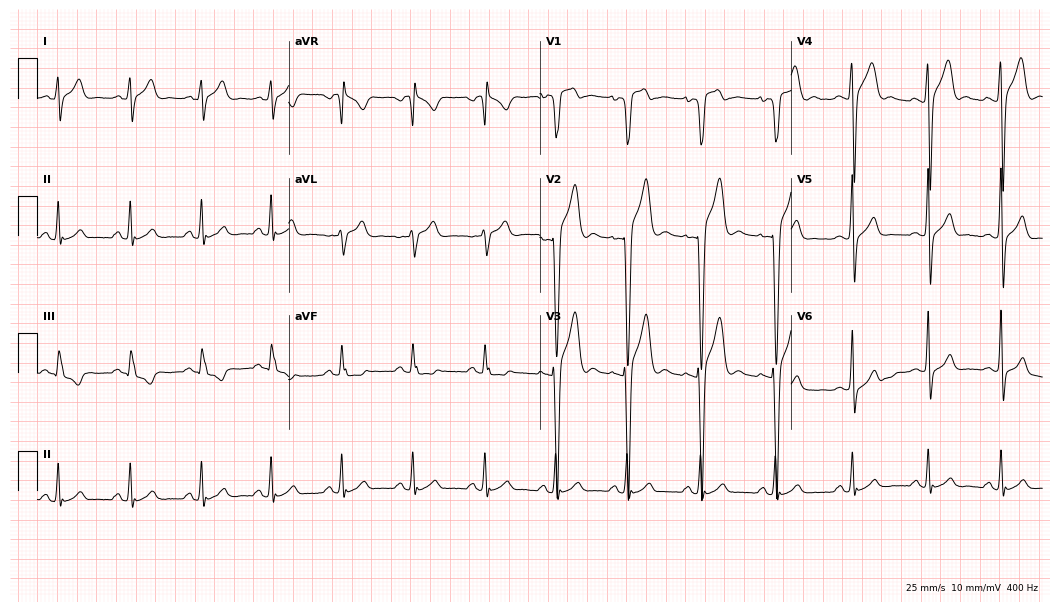
Resting 12-lead electrocardiogram (10.2-second recording at 400 Hz). Patient: a man, 22 years old. None of these six findings is recorded: first-degree AV block, right bundle branch block, left bundle branch block, sinus bradycardia, atrial fibrillation, sinus tachycardia. Only these six findings were labelled.